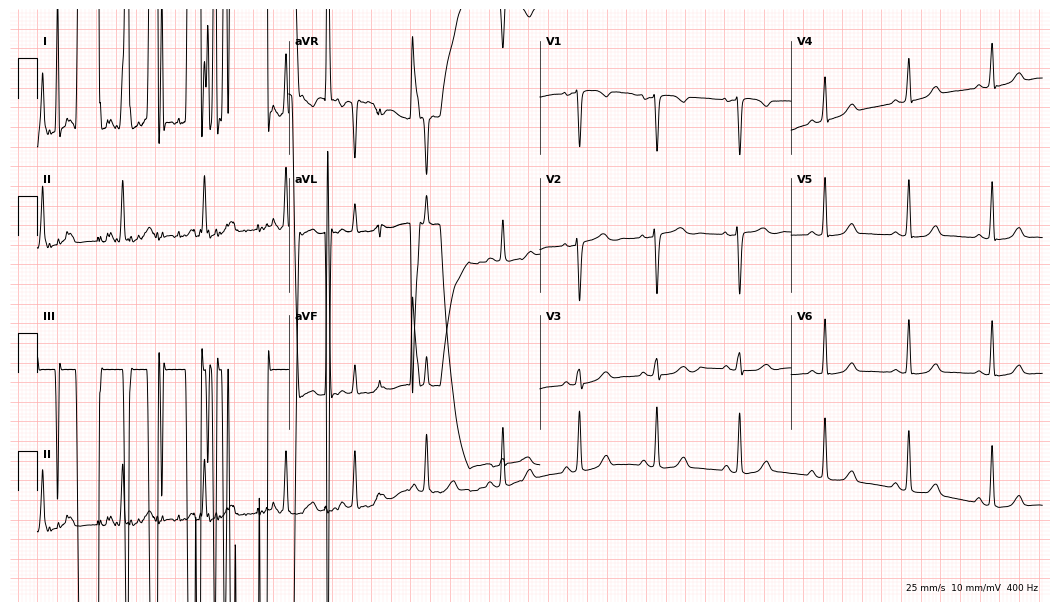
Standard 12-lead ECG recorded from a female, 50 years old. None of these six findings is recorded: first-degree AV block, right bundle branch block, left bundle branch block, sinus bradycardia, atrial fibrillation, sinus tachycardia.